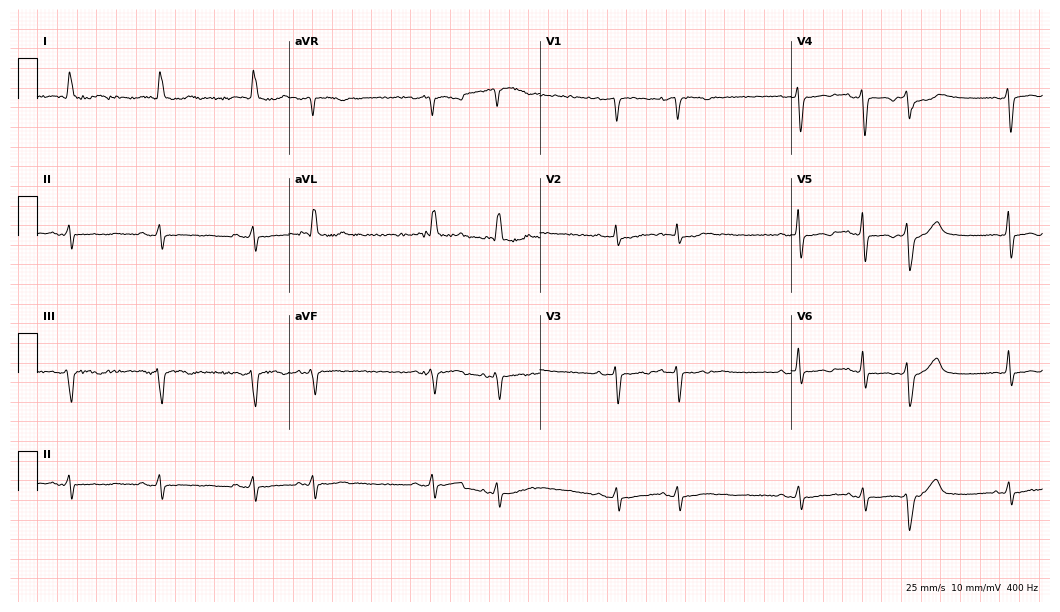
12-lead ECG from an 81-year-old woman. Screened for six findings — first-degree AV block, right bundle branch block, left bundle branch block, sinus bradycardia, atrial fibrillation, sinus tachycardia — none is recorded. Only these six findings were labelled.